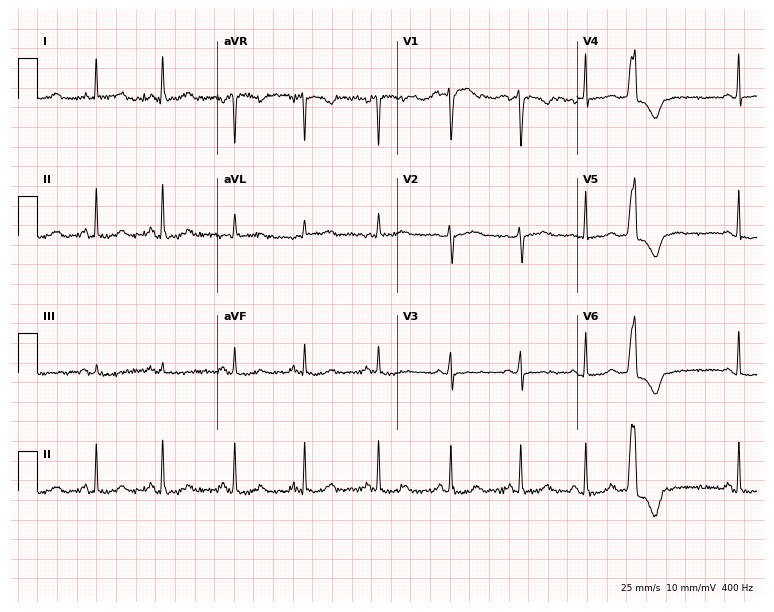
Standard 12-lead ECG recorded from a 23-year-old female patient. None of these six findings is recorded: first-degree AV block, right bundle branch block (RBBB), left bundle branch block (LBBB), sinus bradycardia, atrial fibrillation (AF), sinus tachycardia.